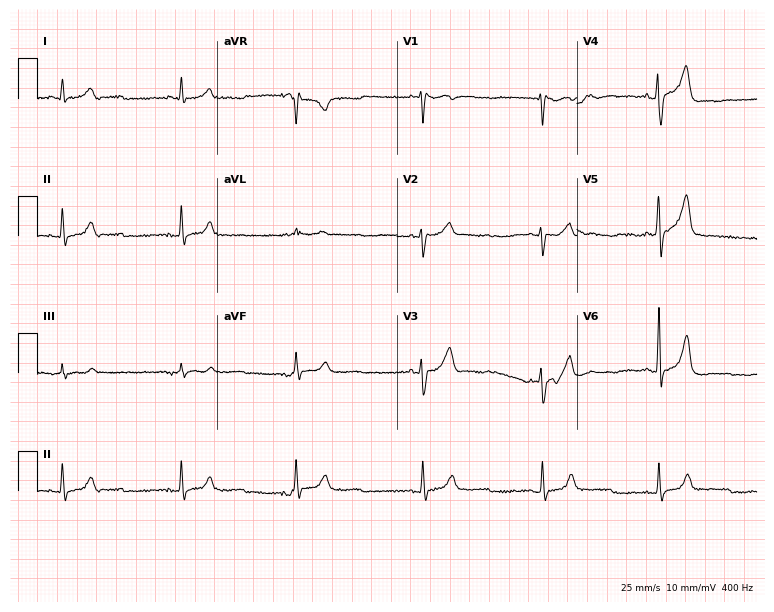
12-lead ECG (7.3-second recording at 400 Hz) from a male, 79 years old. Findings include sinus bradycardia (a sinus rate of 50 beats per minute or less).